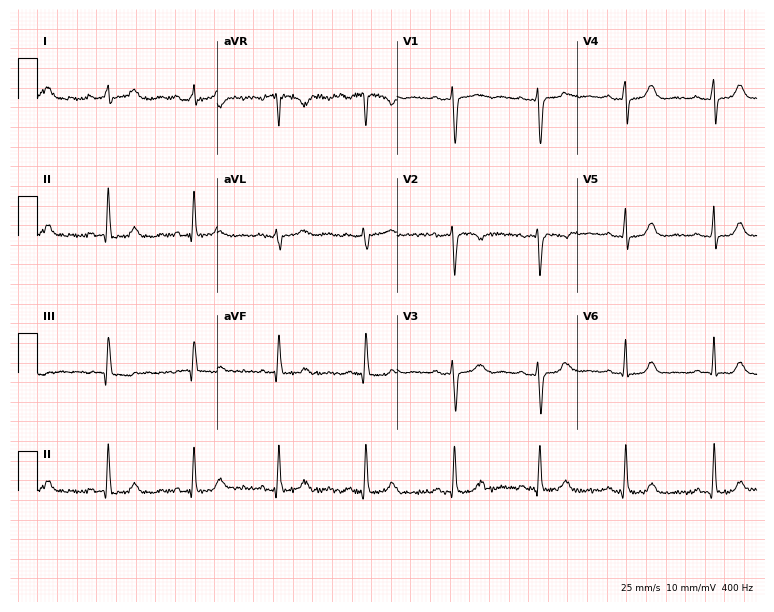
ECG (7.3-second recording at 400 Hz) — a female, 62 years old. Labelled as a normal ECG.